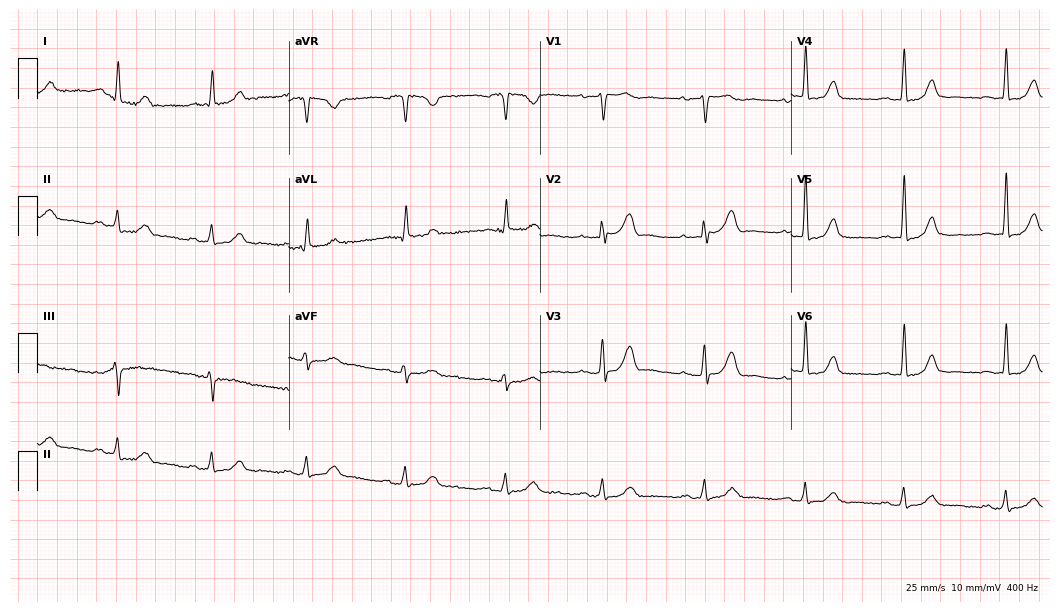
12-lead ECG (10.2-second recording at 400 Hz) from a 65-year-old female. Labelled as a normal ECG.